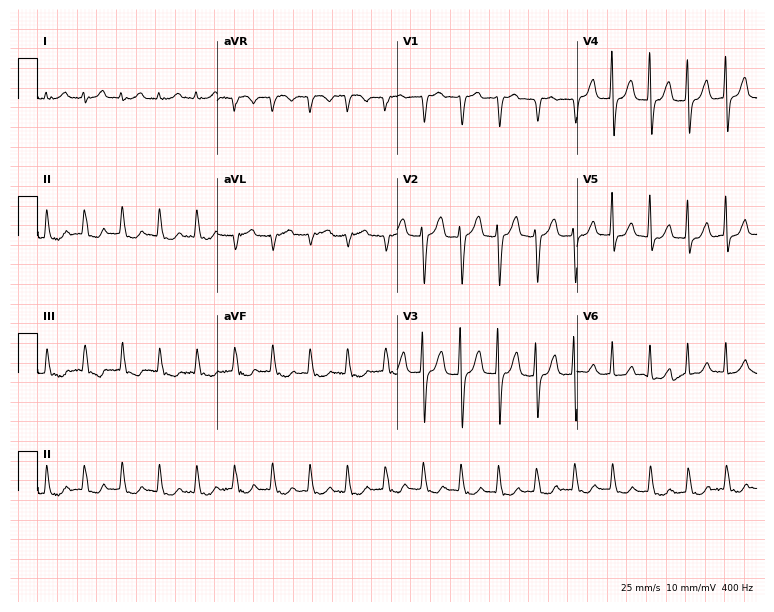
ECG — a 52-year-old female patient. Screened for six findings — first-degree AV block, right bundle branch block, left bundle branch block, sinus bradycardia, atrial fibrillation, sinus tachycardia — none is recorded.